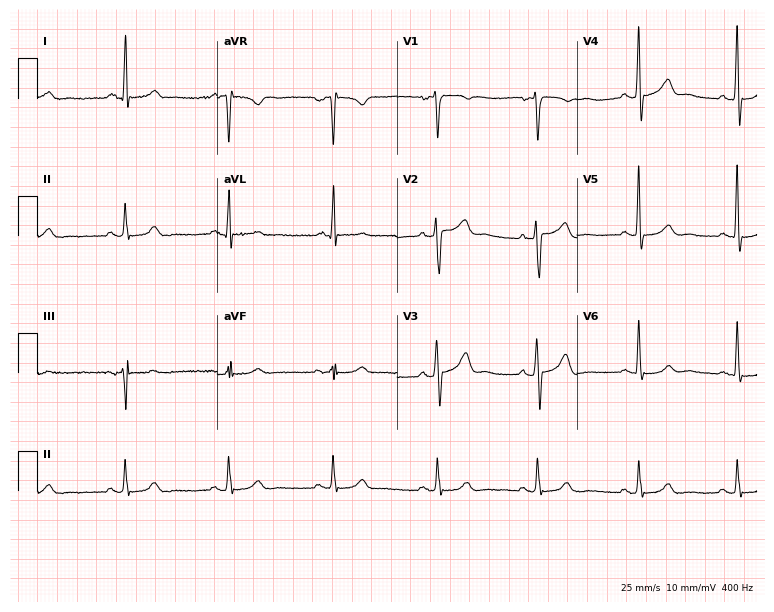
12-lead ECG (7.3-second recording at 400 Hz) from a 58-year-old male. Screened for six findings — first-degree AV block, right bundle branch block, left bundle branch block, sinus bradycardia, atrial fibrillation, sinus tachycardia — none is recorded.